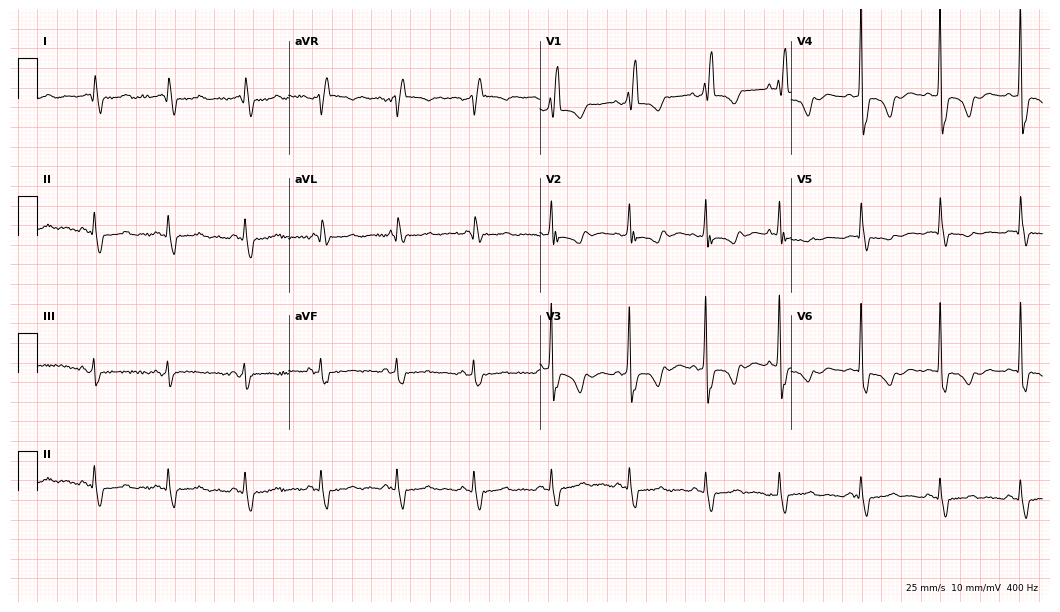
Resting 12-lead electrocardiogram (10.2-second recording at 400 Hz). Patient: a 75-year-old woman. None of these six findings is recorded: first-degree AV block, right bundle branch block, left bundle branch block, sinus bradycardia, atrial fibrillation, sinus tachycardia. Only these six findings were labelled.